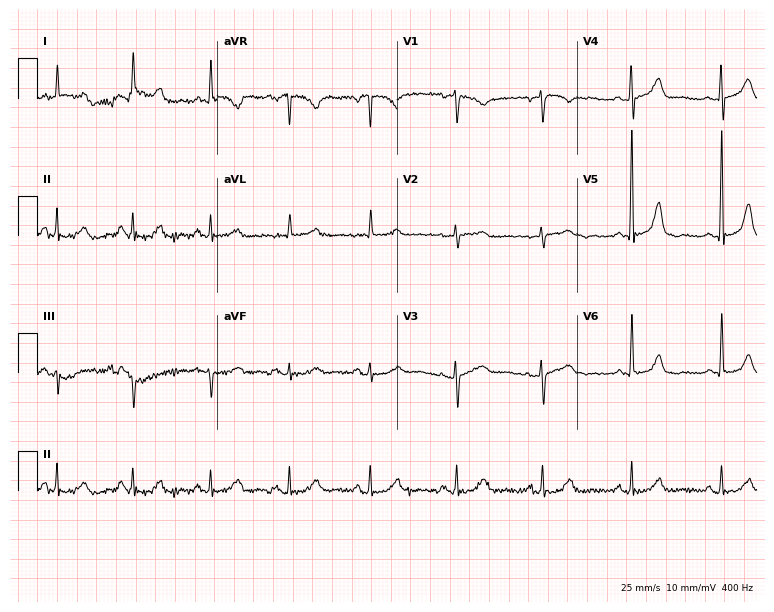
12-lead ECG from a 70-year-old female patient. Recorded interpretation: within normal limits.